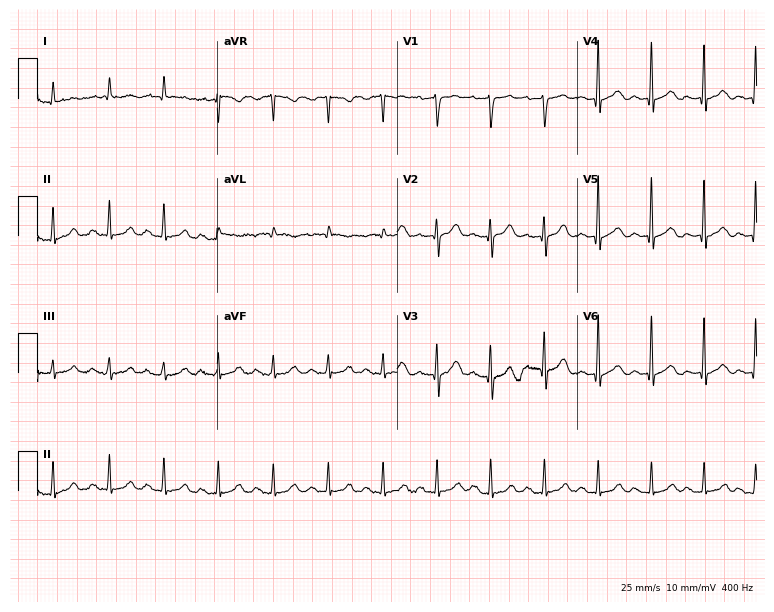
Standard 12-lead ECG recorded from an 84-year-old male patient (7.3-second recording at 400 Hz). The tracing shows sinus tachycardia (a sinus rate of 100 beats per minute or more).